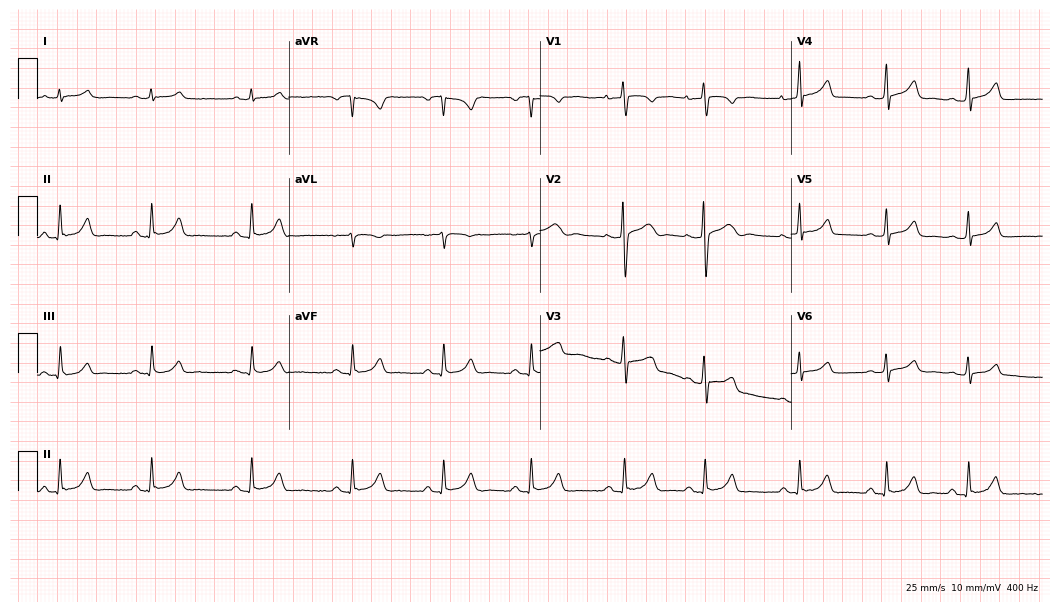
Electrocardiogram (10.2-second recording at 400 Hz), a woman, 21 years old. Overall reading on record: normal ECG.